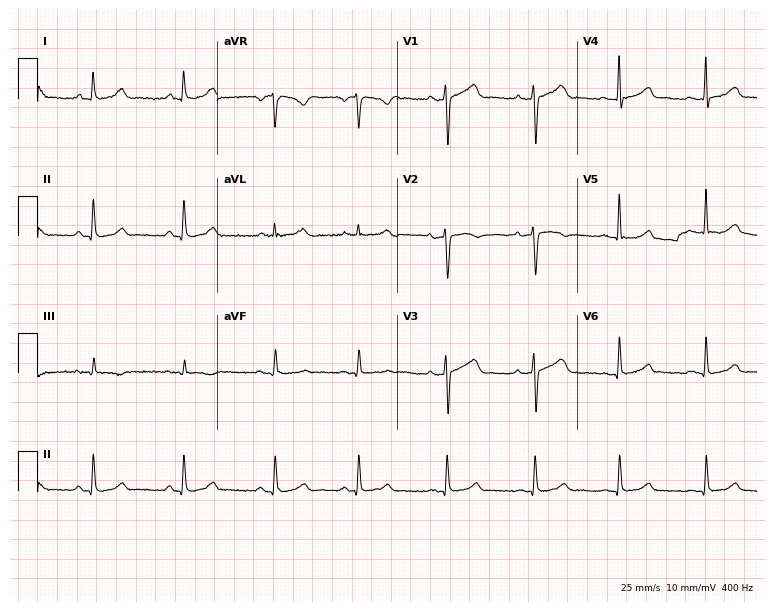
ECG — a 34-year-old female. Labelled as a normal ECG.